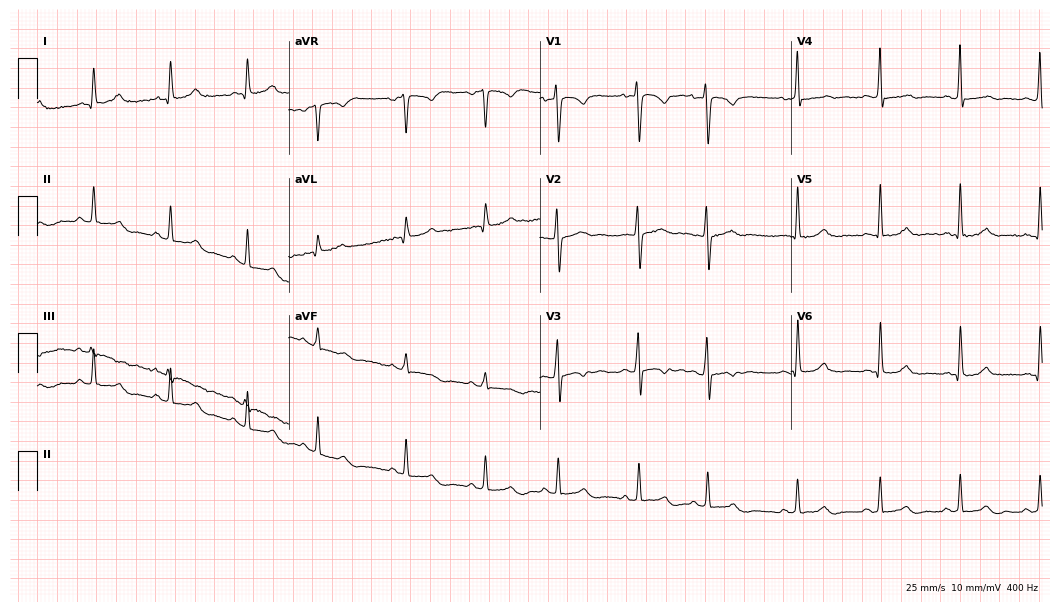
ECG (10.2-second recording at 400 Hz) — a male patient, 48 years old. Labelled as a normal ECG.